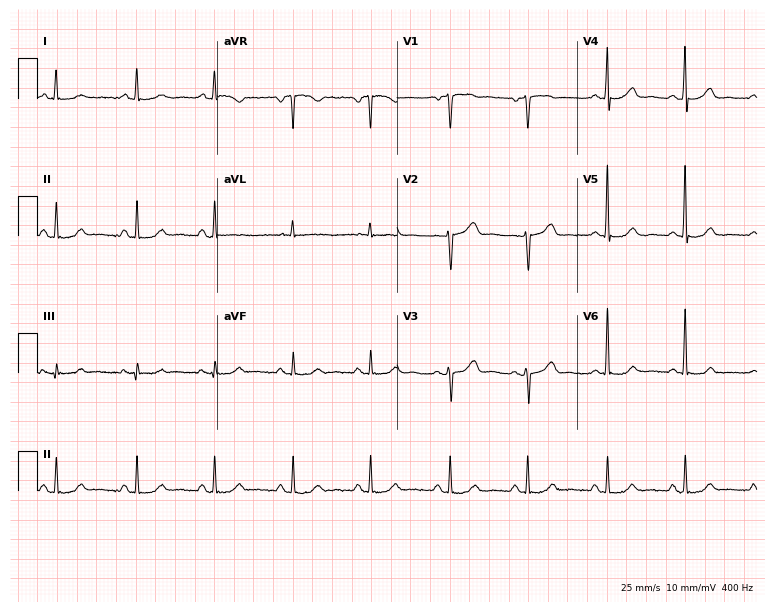
Resting 12-lead electrocardiogram (7.3-second recording at 400 Hz). Patient: a woman, 48 years old. Read as a normal ECG.